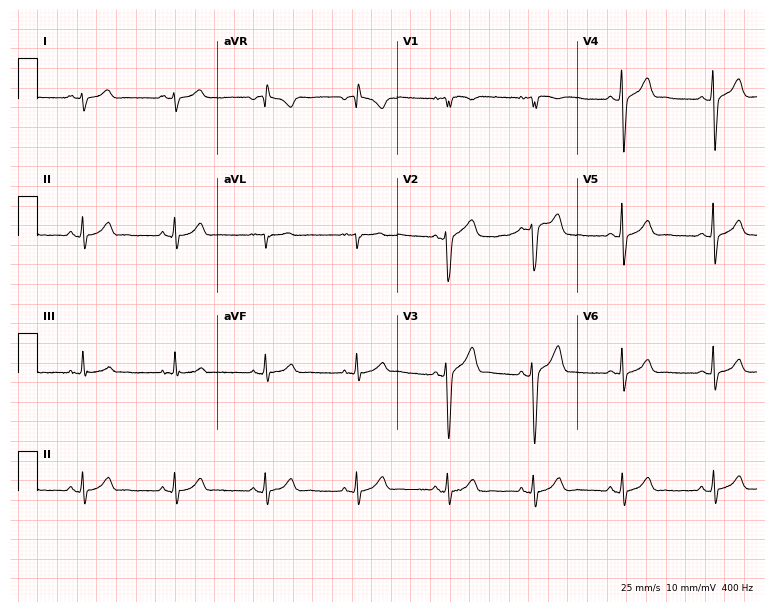
Standard 12-lead ECG recorded from a 31-year-old man (7.3-second recording at 400 Hz). None of these six findings is recorded: first-degree AV block, right bundle branch block (RBBB), left bundle branch block (LBBB), sinus bradycardia, atrial fibrillation (AF), sinus tachycardia.